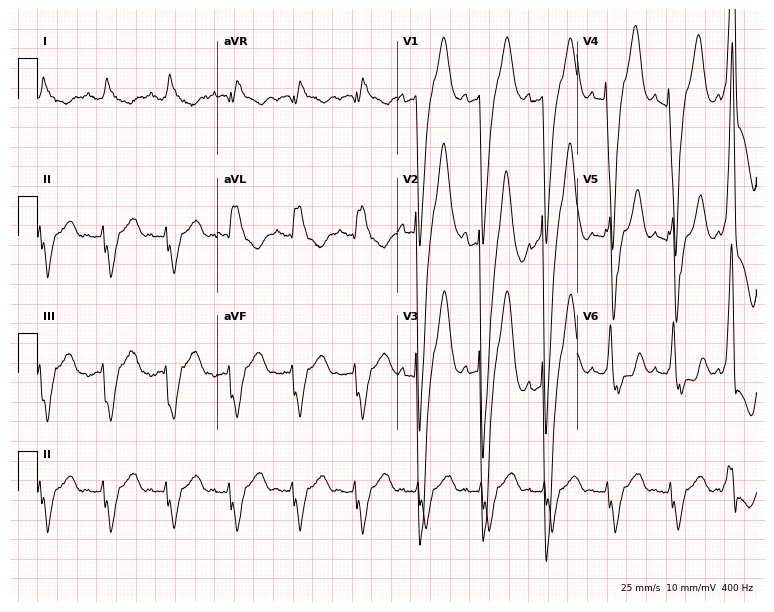
Standard 12-lead ECG recorded from a male patient, 72 years old. The tracing shows left bundle branch block.